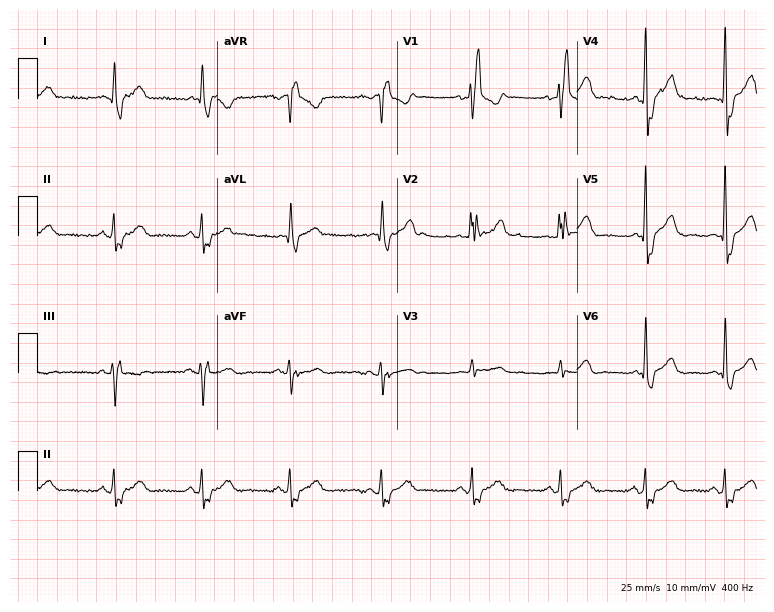
ECG (7.3-second recording at 400 Hz) — a 47-year-old male. Findings include right bundle branch block (RBBB).